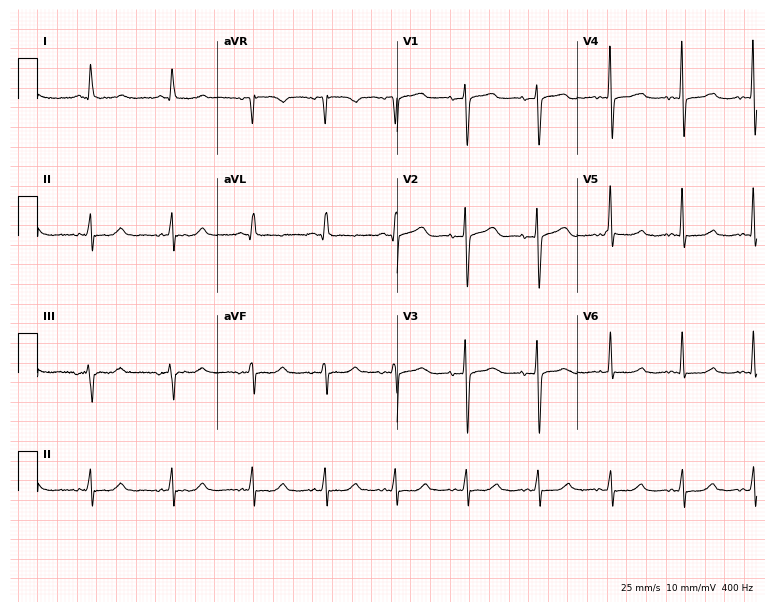
ECG (7.3-second recording at 400 Hz) — a woman, 69 years old. Labelled as a normal ECG.